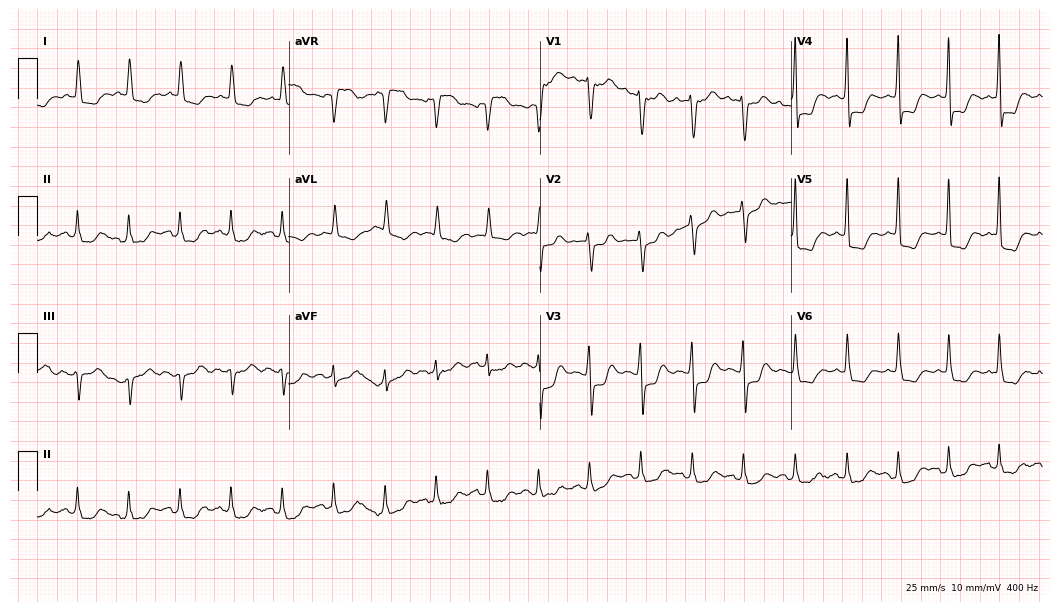
12-lead ECG from a female, 77 years old. Findings include sinus tachycardia (a sinus rate of 100 beats per minute or more).